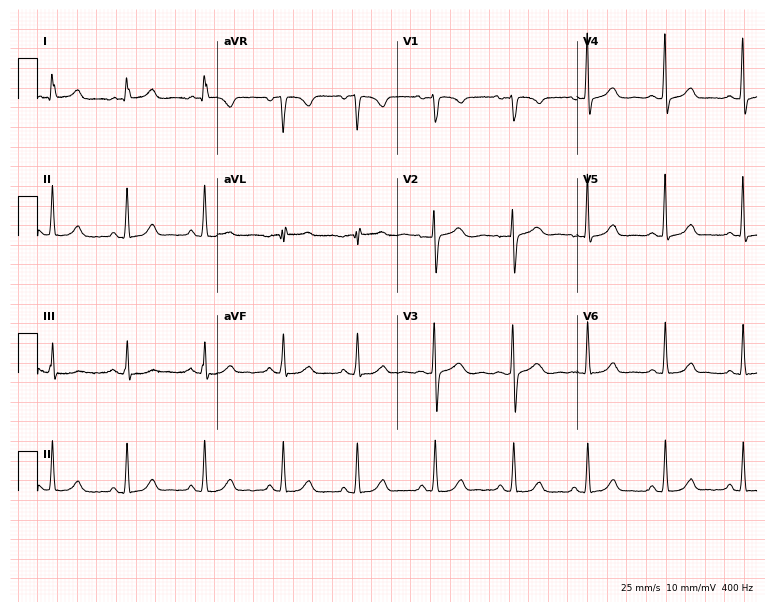
Resting 12-lead electrocardiogram (7.3-second recording at 400 Hz). Patient: a female, 45 years old. Read as a normal ECG.